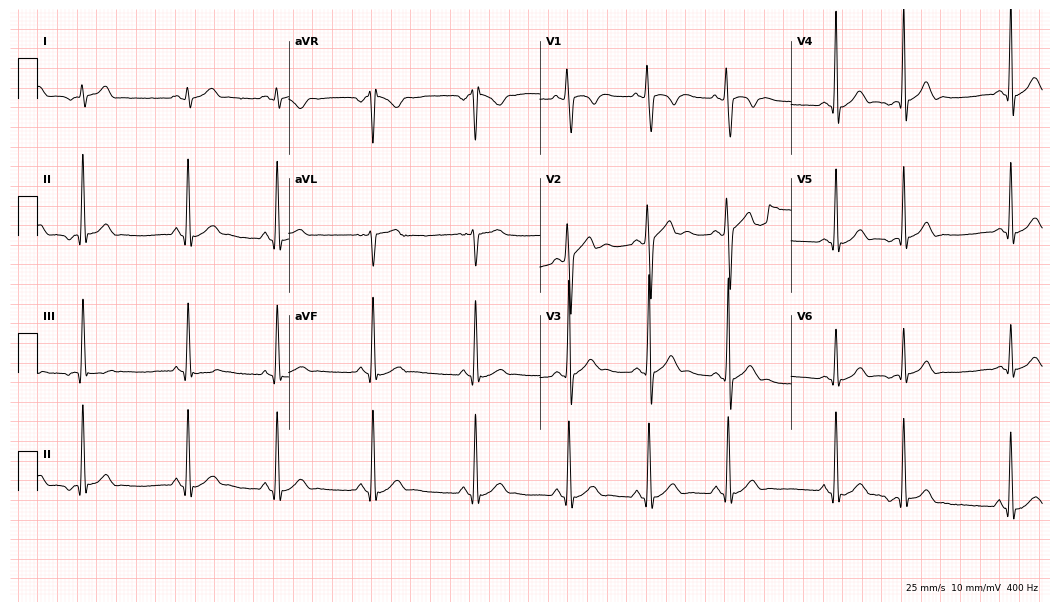
12-lead ECG from a male, 17 years old (10.2-second recording at 400 Hz). No first-degree AV block, right bundle branch block, left bundle branch block, sinus bradycardia, atrial fibrillation or sinus tachycardia recorded for this tracing.